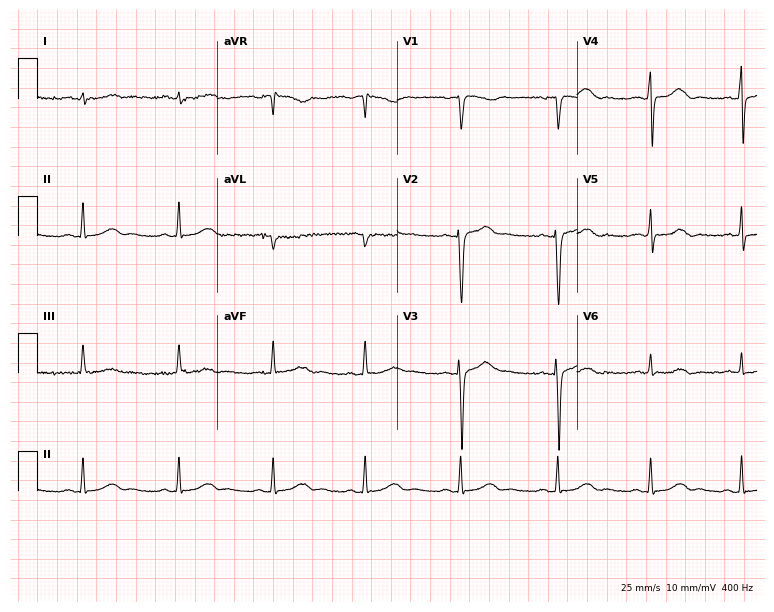
Resting 12-lead electrocardiogram (7.3-second recording at 400 Hz). Patient: a female, 57 years old. Read as a normal ECG.